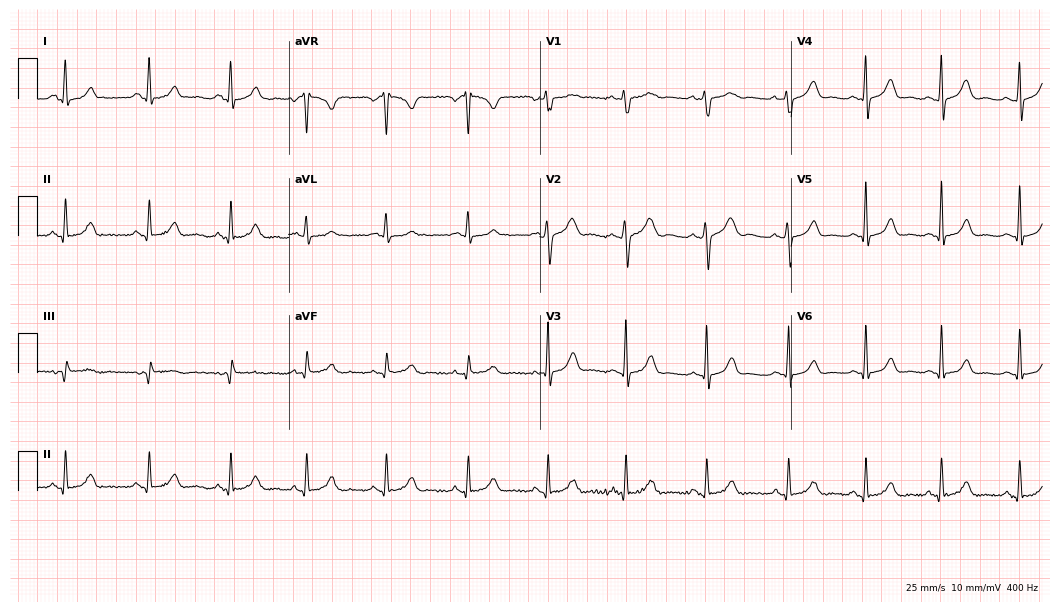
Resting 12-lead electrocardiogram. Patient: a 27-year-old female. Read as a normal ECG.